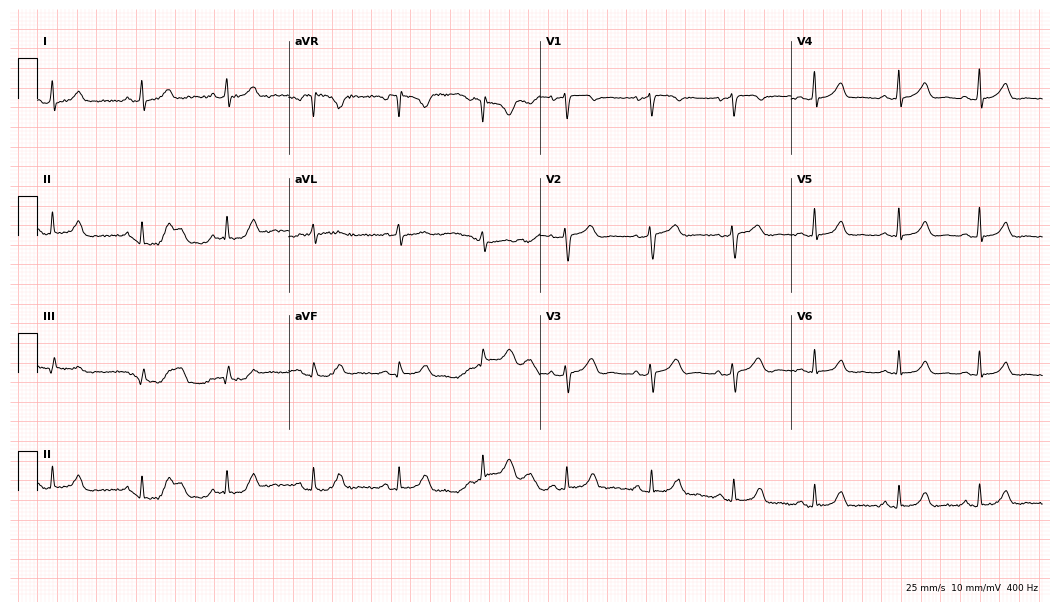
12-lead ECG from a female patient, 59 years old. Labelled as a normal ECG.